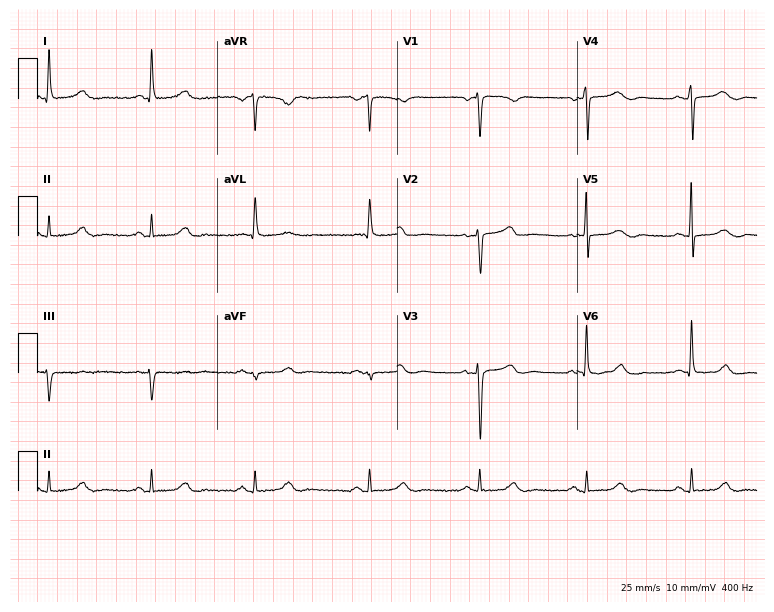
ECG — a female, 77 years old. Labelled as a normal ECG.